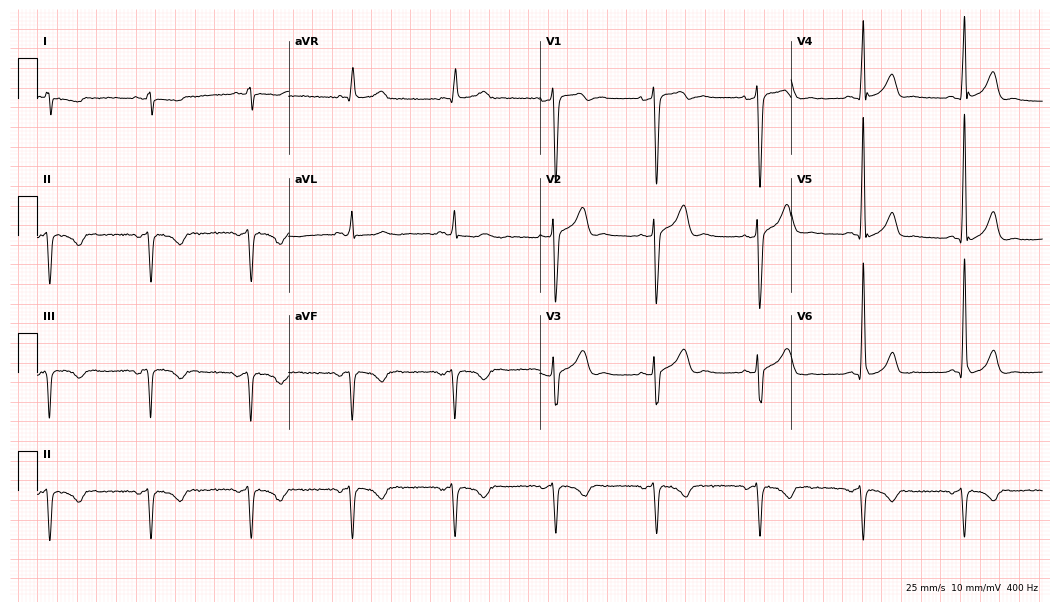
Electrocardiogram, a 67-year-old male. Of the six screened findings (first-degree AV block, right bundle branch block, left bundle branch block, sinus bradycardia, atrial fibrillation, sinus tachycardia), none is recorded. Findings outside these six are not listed.